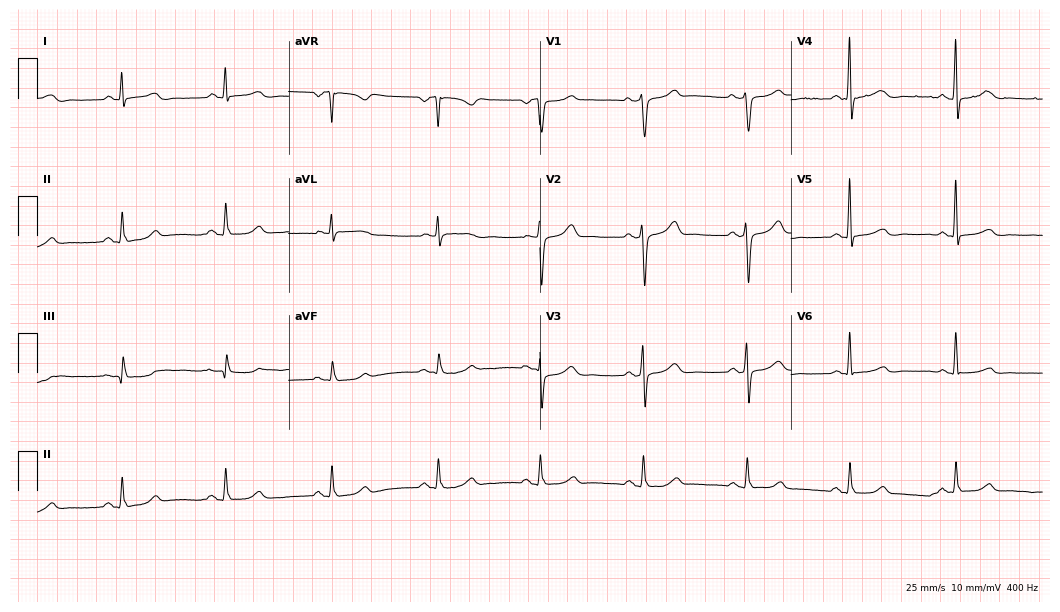
12-lead ECG from a male, 62 years old. Recorded interpretation: within normal limits.